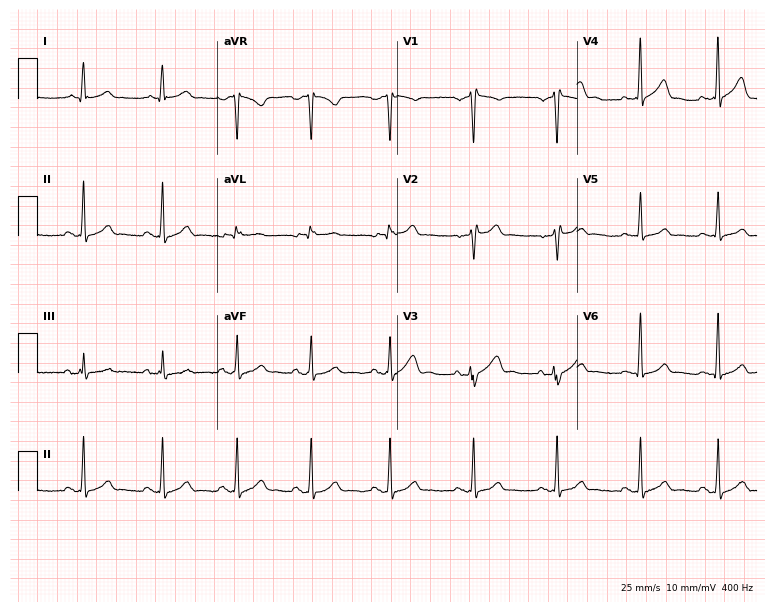
12-lead ECG (7.3-second recording at 400 Hz) from a 35-year-old man. Labelled as a normal ECG.